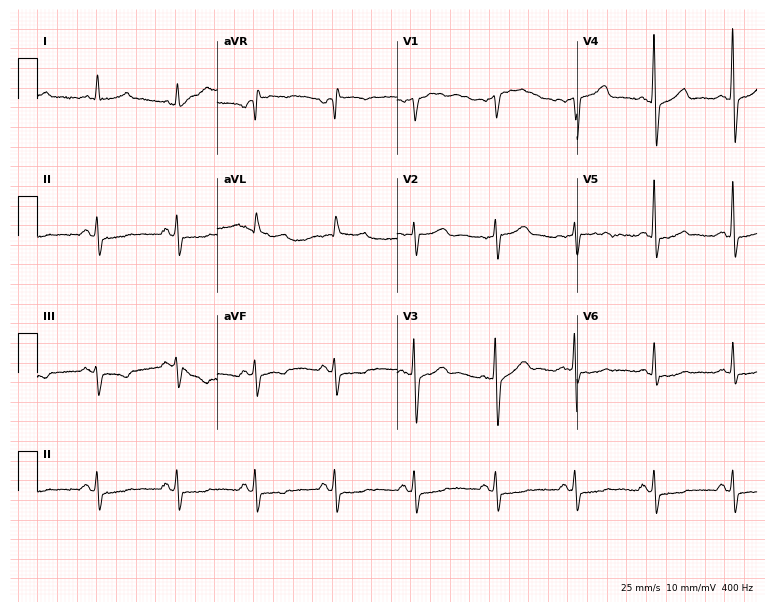
12-lead ECG from a 70-year-old man. No first-degree AV block, right bundle branch block (RBBB), left bundle branch block (LBBB), sinus bradycardia, atrial fibrillation (AF) or sinus tachycardia recorded for this tracing.